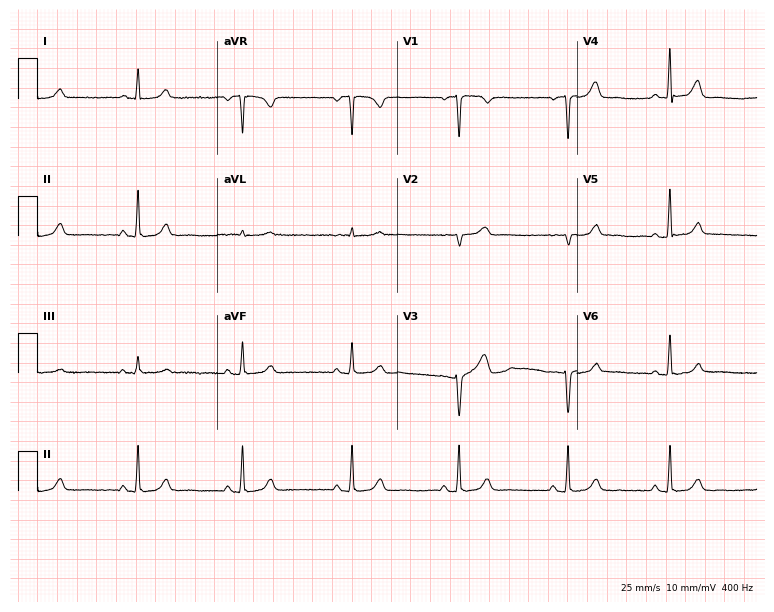
Resting 12-lead electrocardiogram. Patient: a 49-year-old female. None of these six findings is recorded: first-degree AV block, right bundle branch block, left bundle branch block, sinus bradycardia, atrial fibrillation, sinus tachycardia.